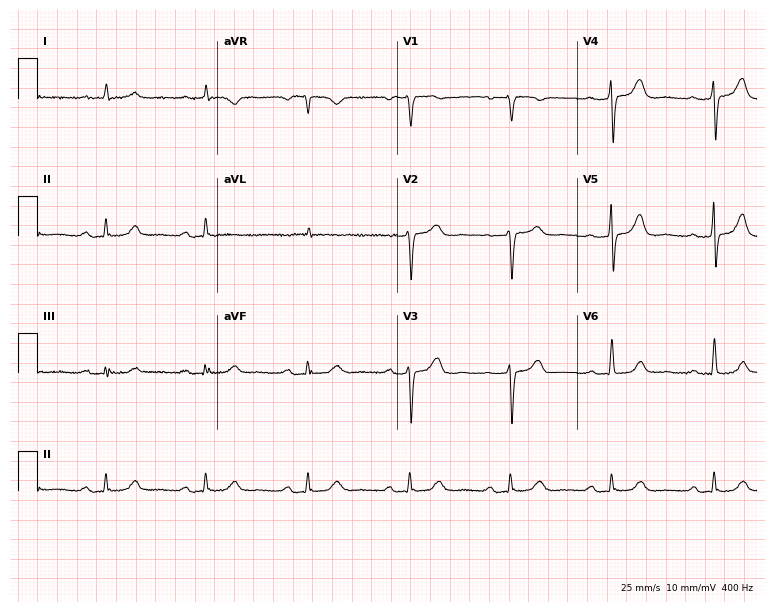
Resting 12-lead electrocardiogram. Patient: an 81-year-old female. The tracing shows first-degree AV block.